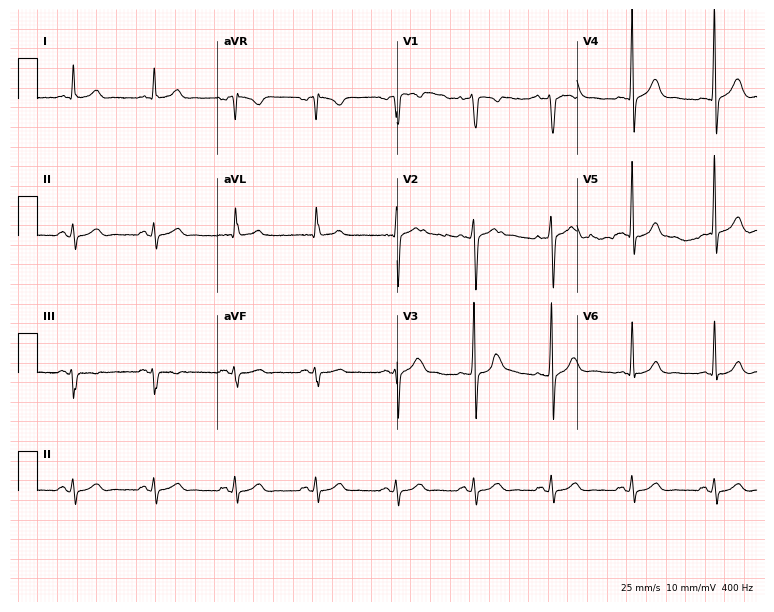
Resting 12-lead electrocardiogram (7.3-second recording at 400 Hz). Patient: a 53-year-old male. None of these six findings is recorded: first-degree AV block, right bundle branch block, left bundle branch block, sinus bradycardia, atrial fibrillation, sinus tachycardia. Other findings, if any, are not listed.